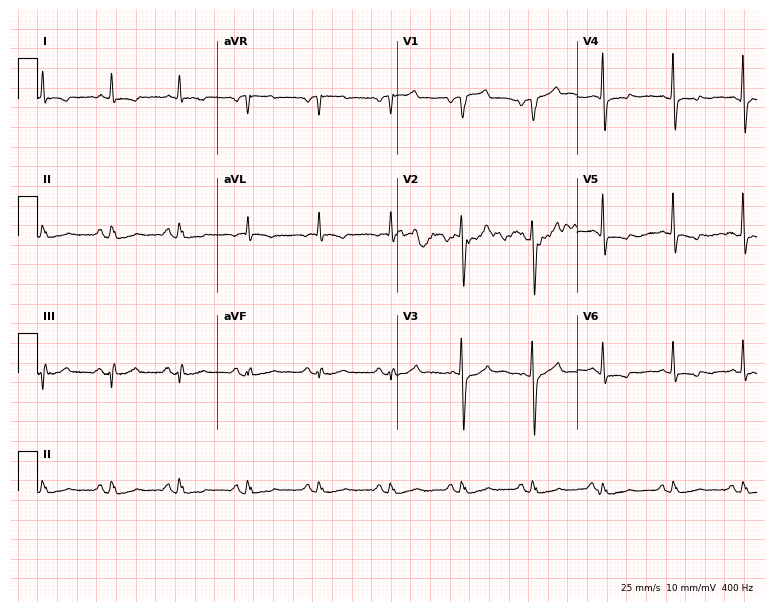
12-lead ECG from a male patient, 69 years old (7.3-second recording at 400 Hz). No first-degree AV block, right bundle branch block, left bundle branch block, sinus bradycardia, atrial fibrillation or sinus tachycardia recorded for this tracing.